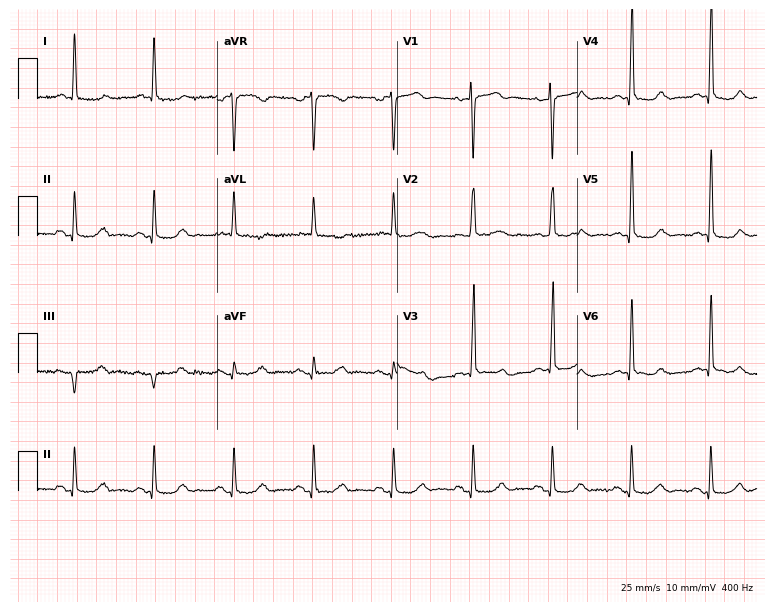
Electrocardiogram, a 74-year-old woman. Of the six screened findings (first-degree AV block, right bundle branch block (RBBB), left bundle branch block (LBBB), sinus bradycardia, atrial fibrillation (AF), sinus tachycardia), none is recorded.